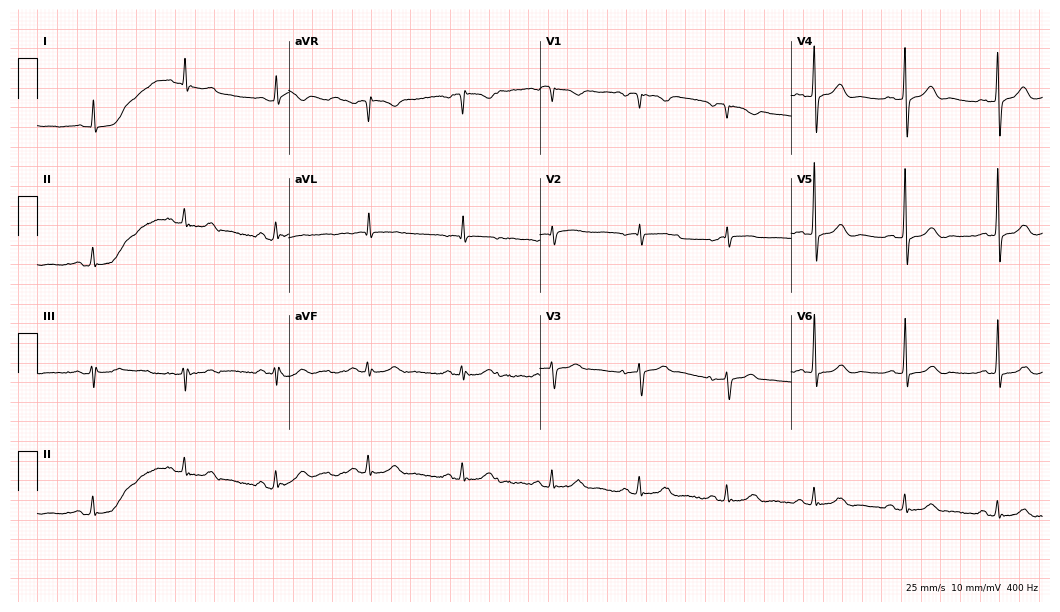
12-lead ECG from an 80-year-old female patient. Screened for six findings — first-degree AV block, right bundle branch block, left bundle branch block, sinus bradycardia, atrial fibrillation, sinus tachycardia — none is recorded.